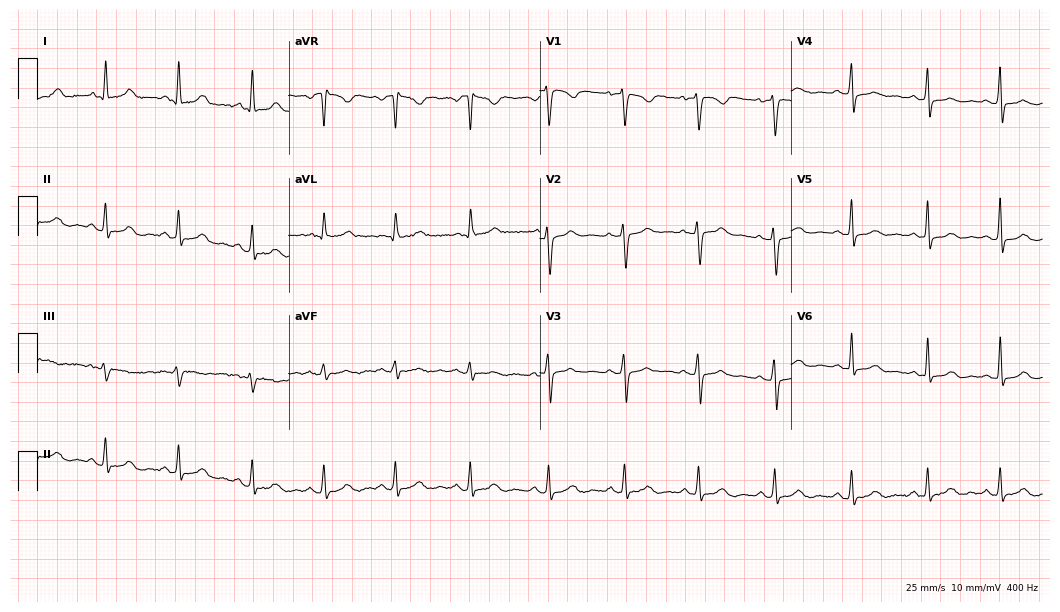
ECG (10.2-second recording at 400 Hz) — a female patient, 40 years old. Labelled as a normal ECG.